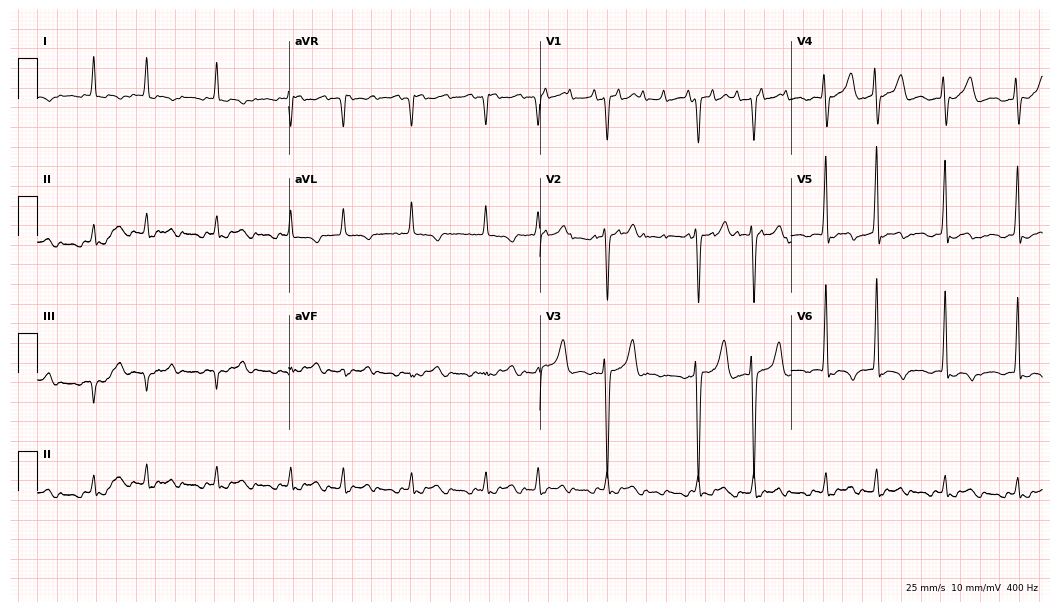
Standard 12-lead ECG recorded from a man, 80 years old (10.2-second recording at 400 Hz). None of these six findings is recorded: first-degree AV block, right bundle branch block (RBBB), left bundle branch block (LBBB), sinus bradycardia, atrial fibrillation (AF), sinus tachycardia.